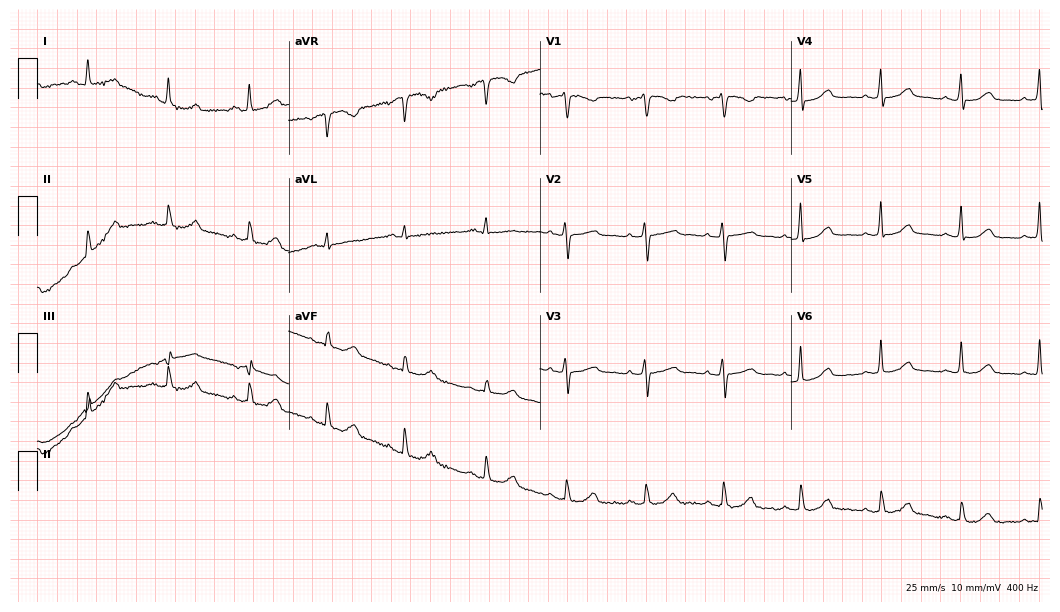
Standard 12-lead ECG recorded from a 50-year-old woman (10.2-second recording at 400 Hz). Read as a normal ECG.